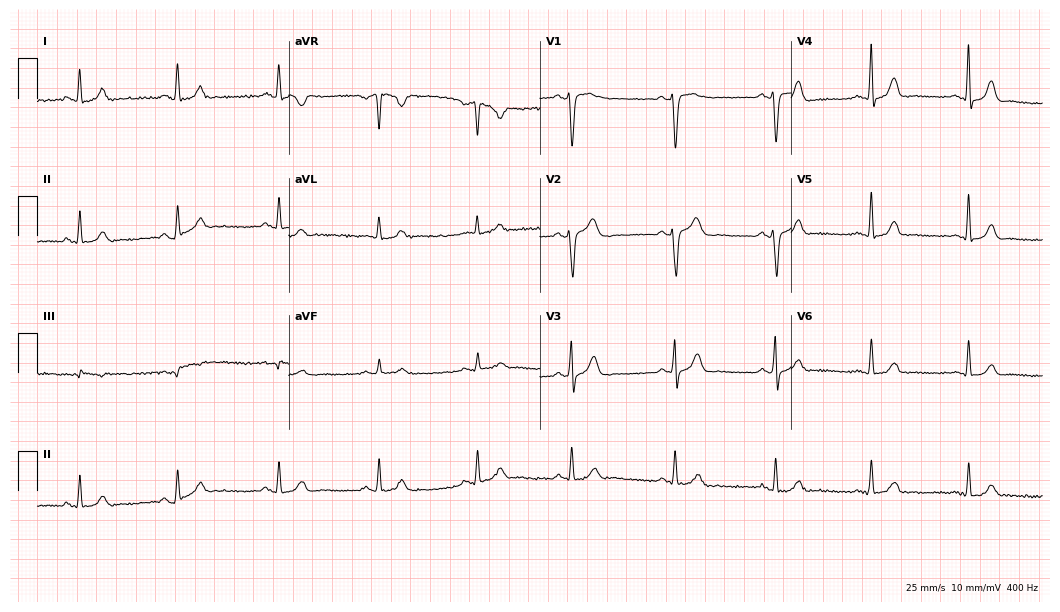
12-lead ECG (10.2-second recording at 400 Hz) from a 42-year-old female. Screened for six findings — first-degree AV block, right bundle branch block, left bundle branch block, sinus bradycardia, atrial fibrillation, sinus tachycardia — none is recorded.